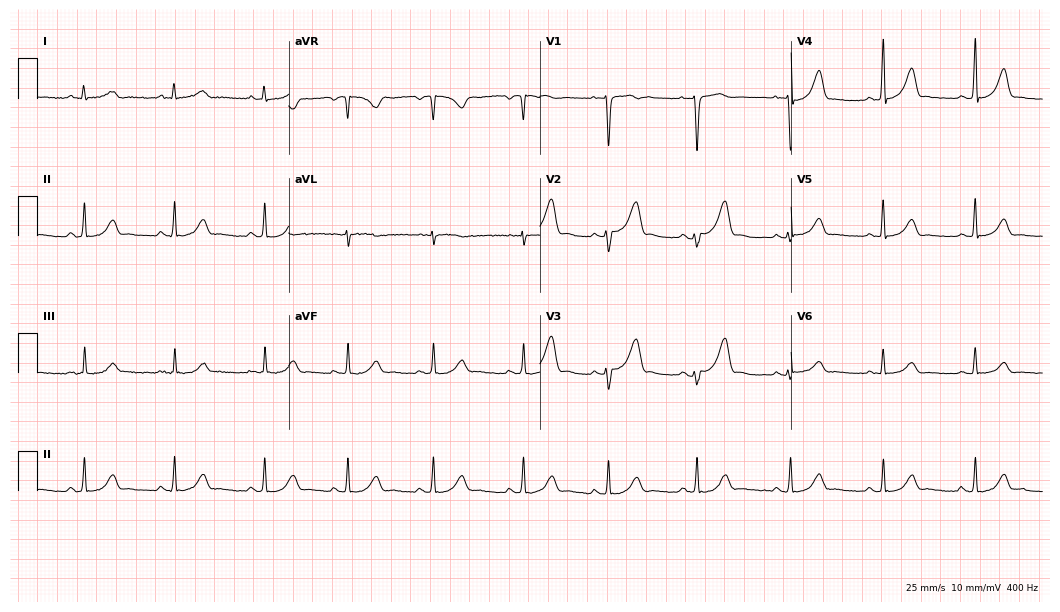
Electrocardiogram, a 24-year-old woman. Of the six screened findings (first-degree AV block, right bundle branch block, left bundle branch block, sinus bradycardia, atrial fibrillation, sinus tachycardia), none is recorded. Other findings, if any, are not listed.